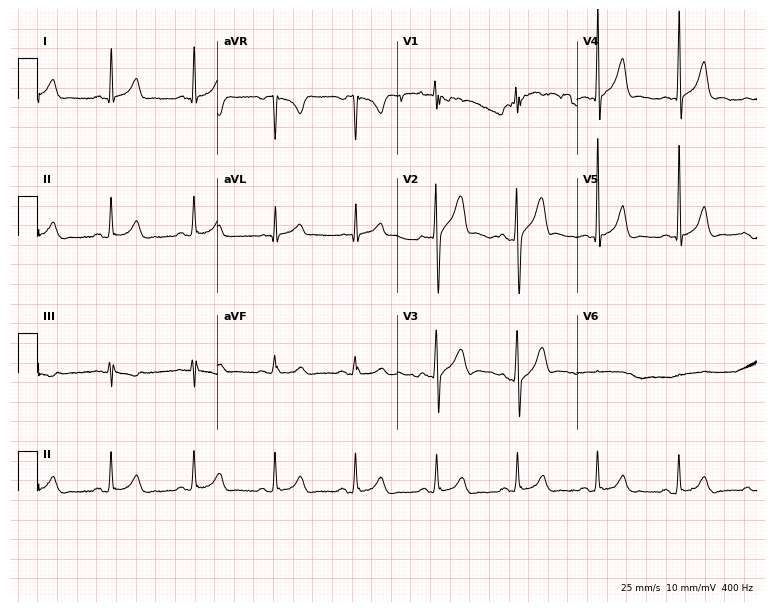
Standard 12-lead ECG recorded from a 43-year-old man. Read as a normal ECG.